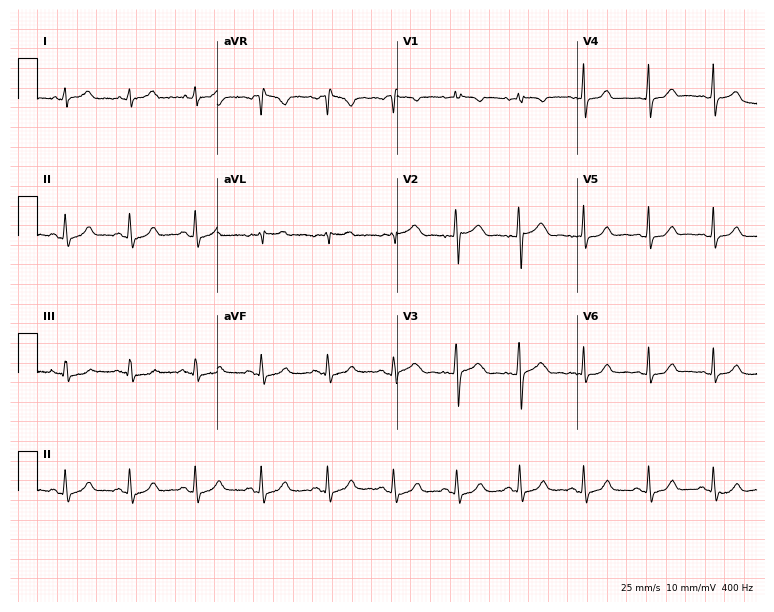
Standard 12-lead ECG recorded from a male, 37 years old. Read as a normal ECG.